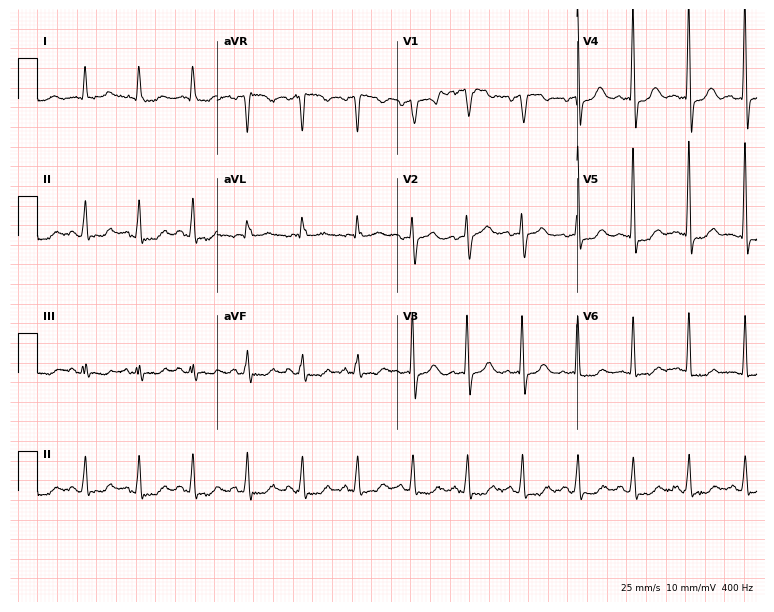
12-lead ECG from an 83-year-old woman. Screened for six findings — first-degree AV block, right bundle branch block, left bundle branch block, sinus bradycardia, atrial fibrillation, sinus tachycardia — none is recorded.